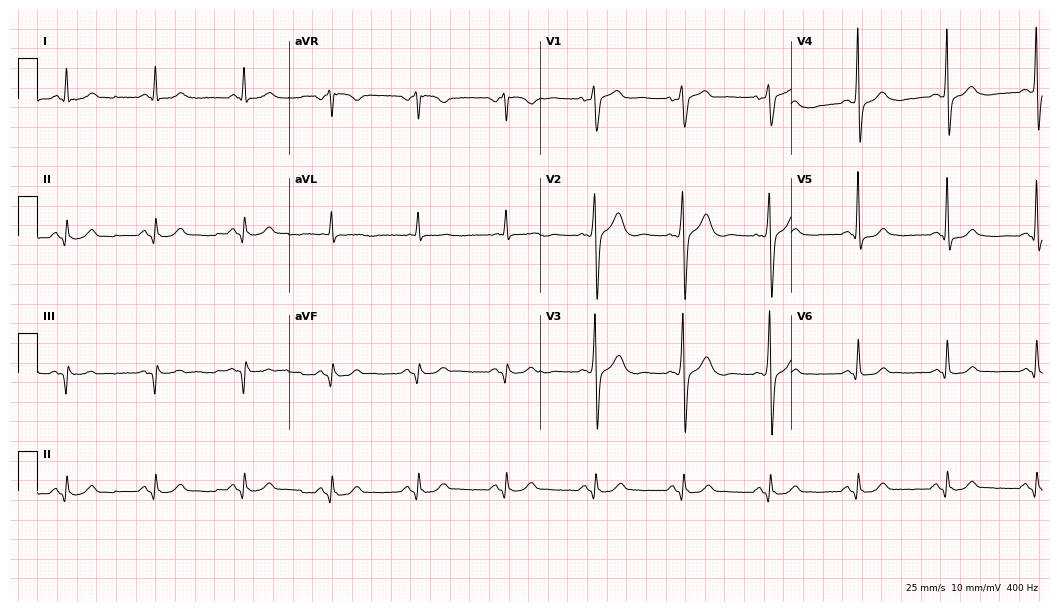
12-lead ECG from a 60-year-old male (10.2-second recording at 400 Hz). No first-degree AV block, right bundle branch block, left bundle branch block, sinus bradycardia, atrial fibrillation or sinus tachycardia recorded for this tracing. Findings outside these six are not listed.